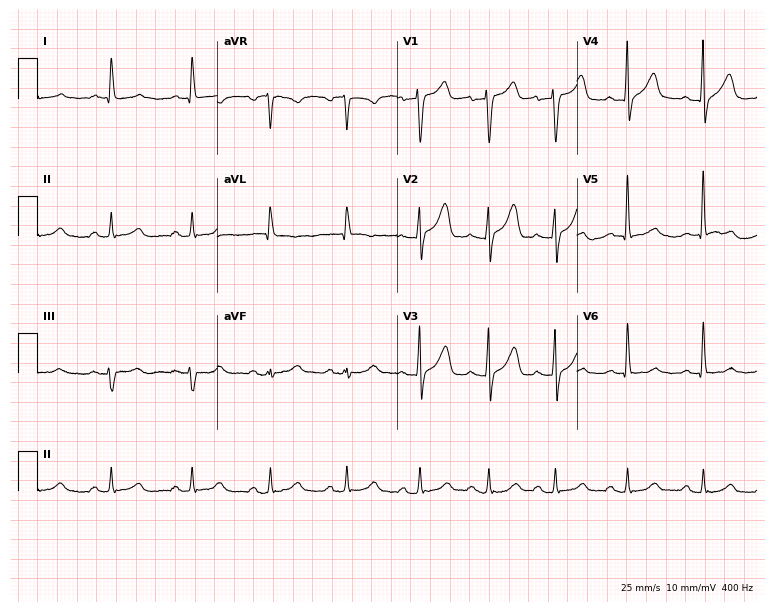
Electrocardiogram, a male, 70 years old. Of the six screened findings (first-degree AV block, right bundle branch block, left bundle branch block, sinus bradycardia, atrial fibrillation, sinus tachycardia), none is recorded.